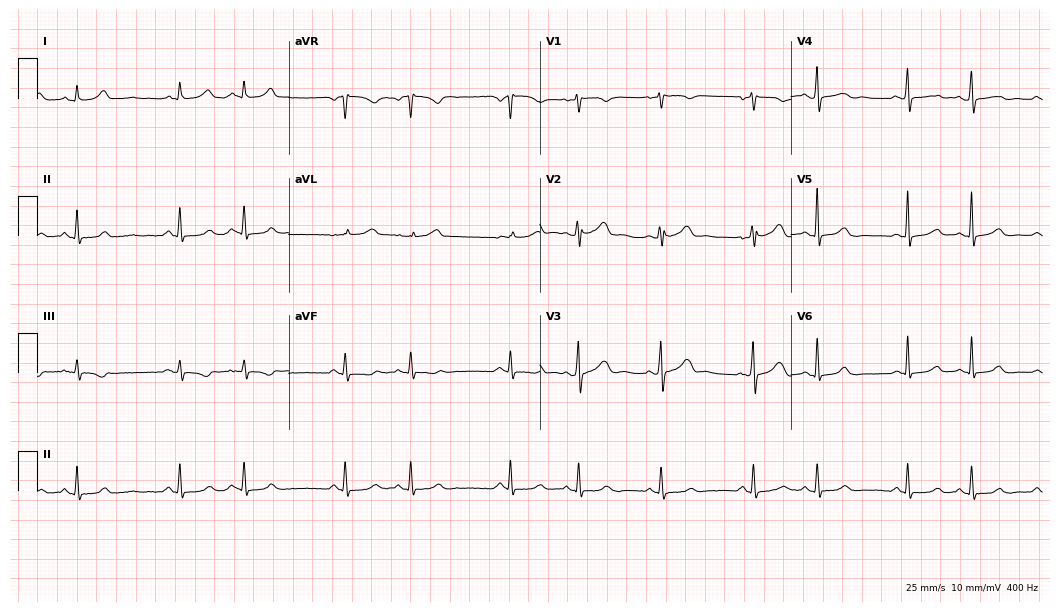
12-lead ECG from a 45-year-old female. No first-degree AV block, right bundle branch block, left bundle branch block, sinus bradycardia, atrial fibrillation or sinus tachycardia recorded for this tracing.